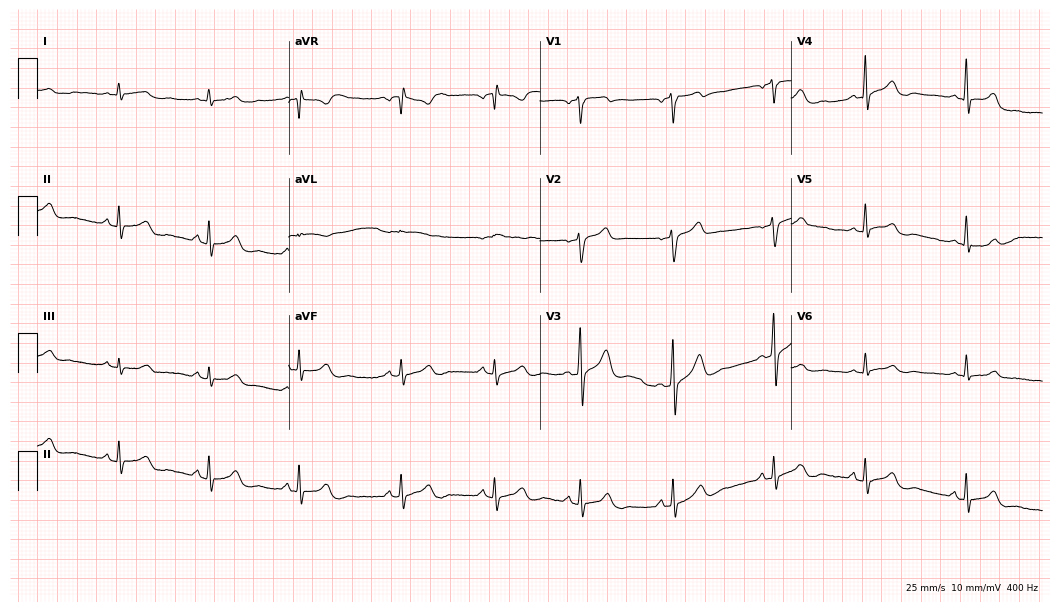
12-lead ECG from a male patient, 46 years old. No first-degree AV block, right bundle branch block (RBBB), left bundle branch block (LBBB), sinus bradycardia, atrial fibrillation (AF) or sinus tachycardia recorded for this tracing.